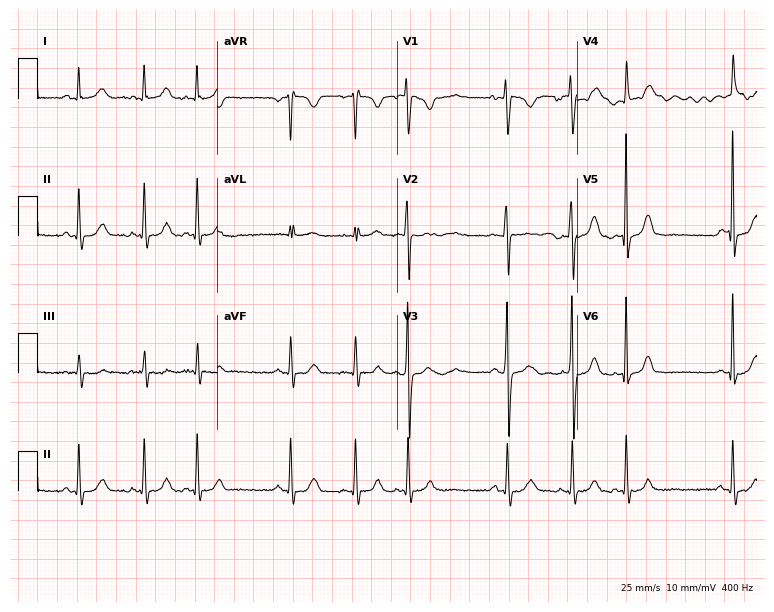
12-lead ECG (7.3-second recording at 400 Hz) from a female patient, 21 years old. Screened for six findings — first-degree AV block, right bundle branch block (RBBB), left bundle branch block (LBBB), sinus bradycardia, atrial fibrillation (AF), sinus tachycardia — none is recorded. Only these six findings were labelled.